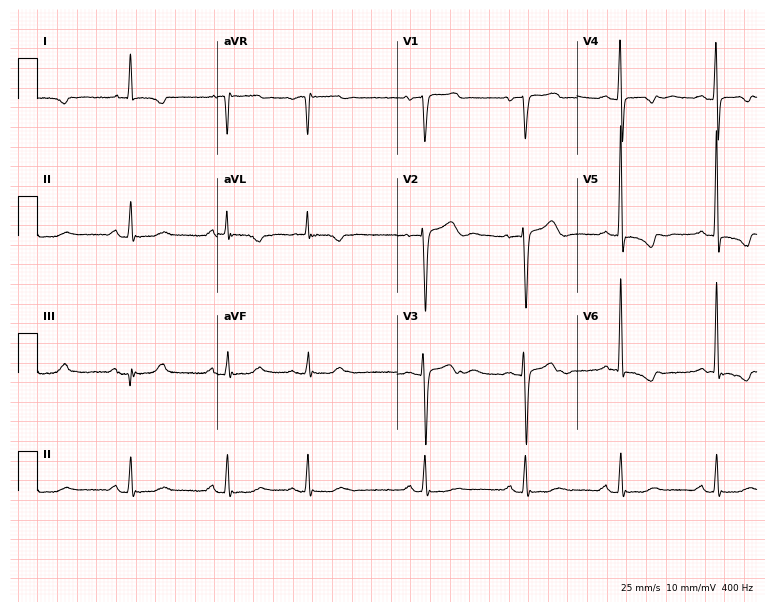
Resting 12-lead electrocardiogram. Patient: a woman, 75 years old. None of these six findings is recorded: first-degree AV block, right bundle branch block, left bundle branch block, sinus bradycardia, atrial fibrillation, sinus tachycardia. Other findings, if any, are not listed.